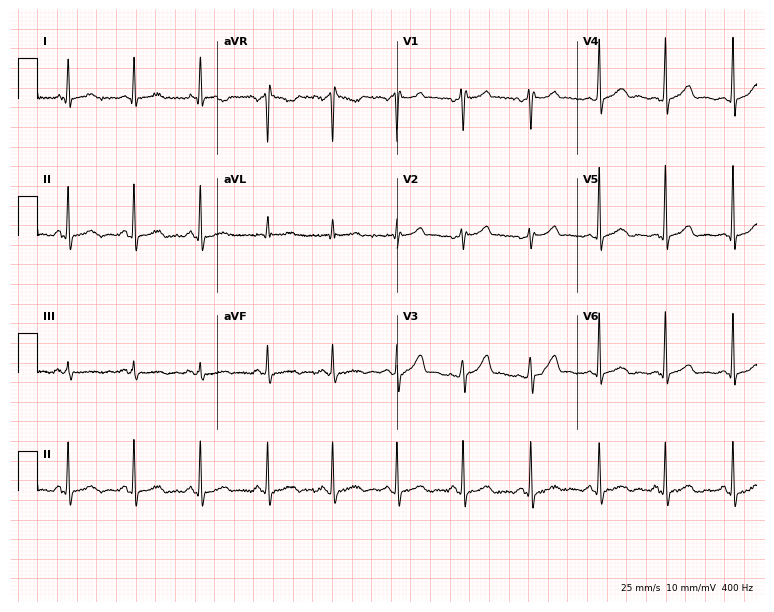
12-lead ECG from a 51-year-old woman. Recorded interpretation: within normal limits.